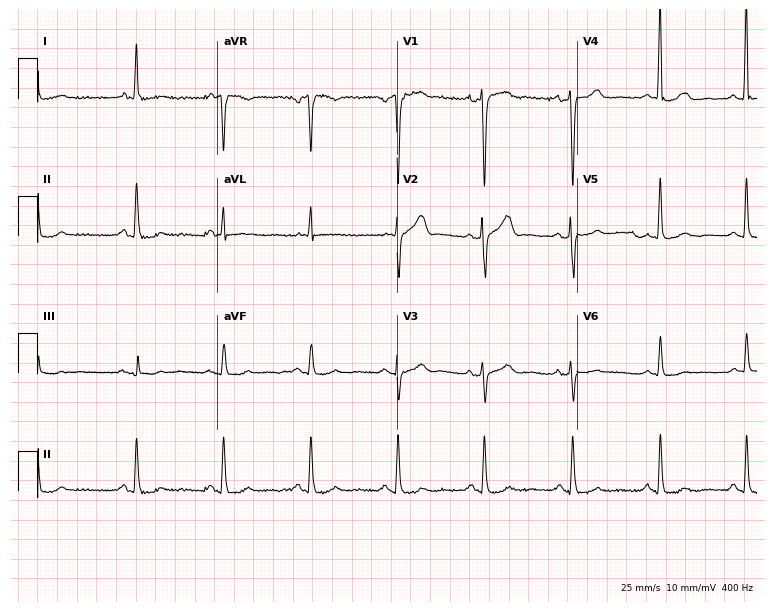
Resting 12-lead electrocardiogram (7.3-second recording at 400 Hz). Patient: a male, 63 years old. Read as a normal ECG.